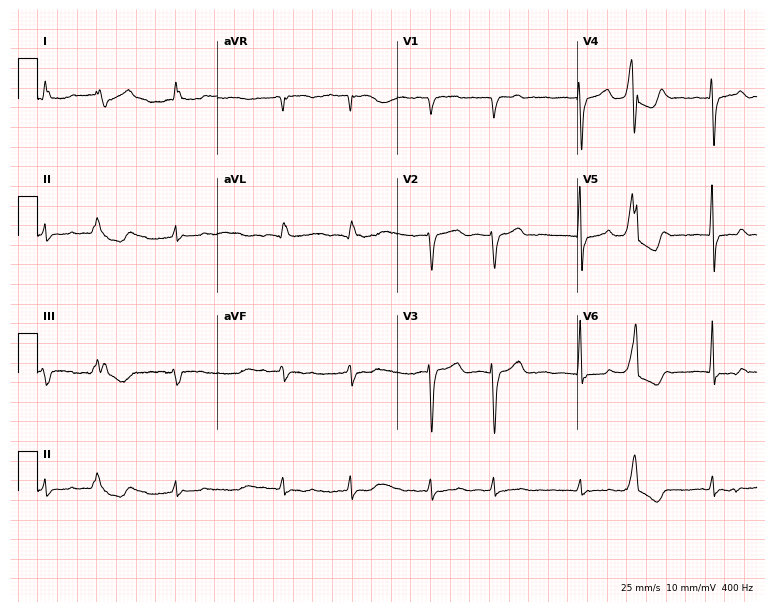
12-lead ECG from a male patient, 71 years old. Findings include atrial fibrillation.